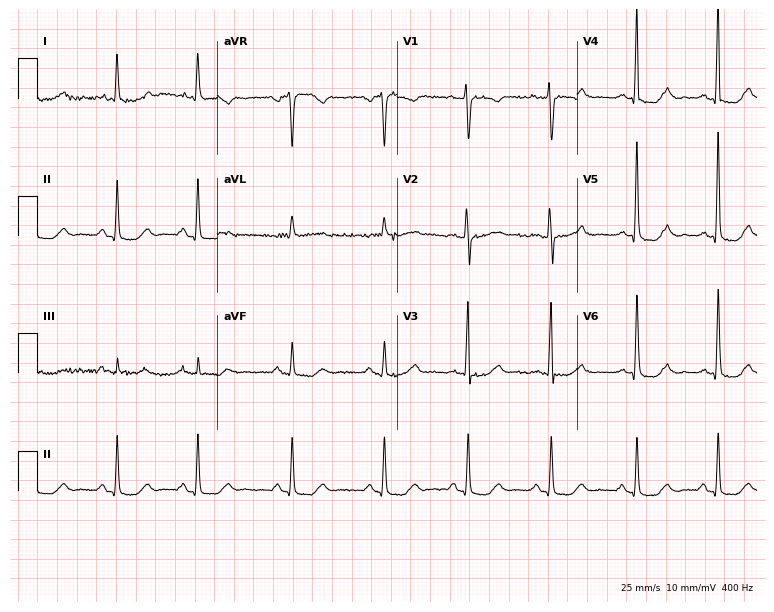
12-lead ECG from a female, 65 years old (7.3-second recording at 400 Hz). Recorded interpretation: within normal limits.